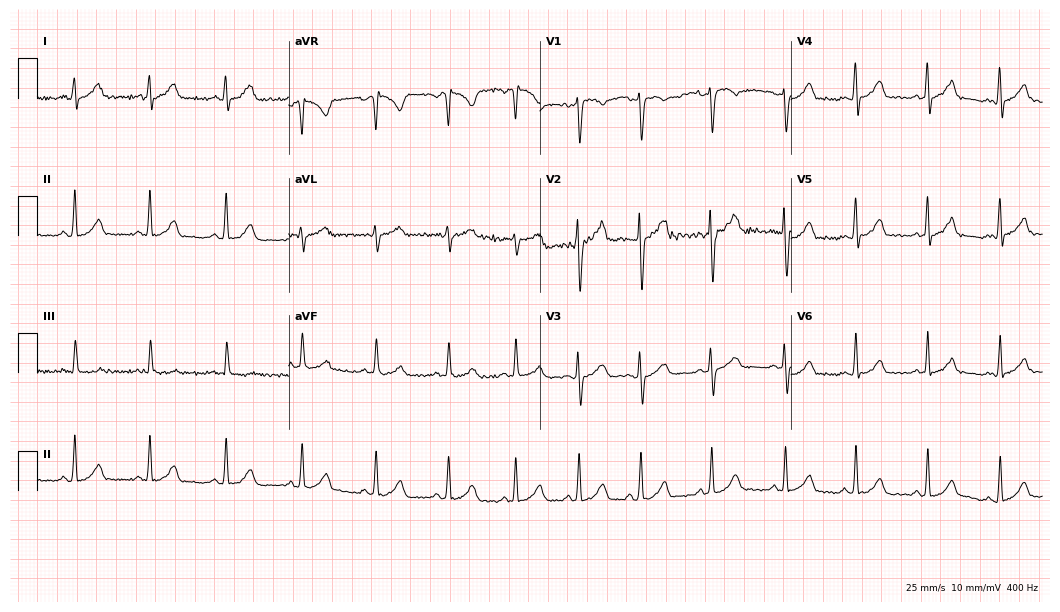
ECG — a woman, 32 years old. Labelled as a normal ECG.